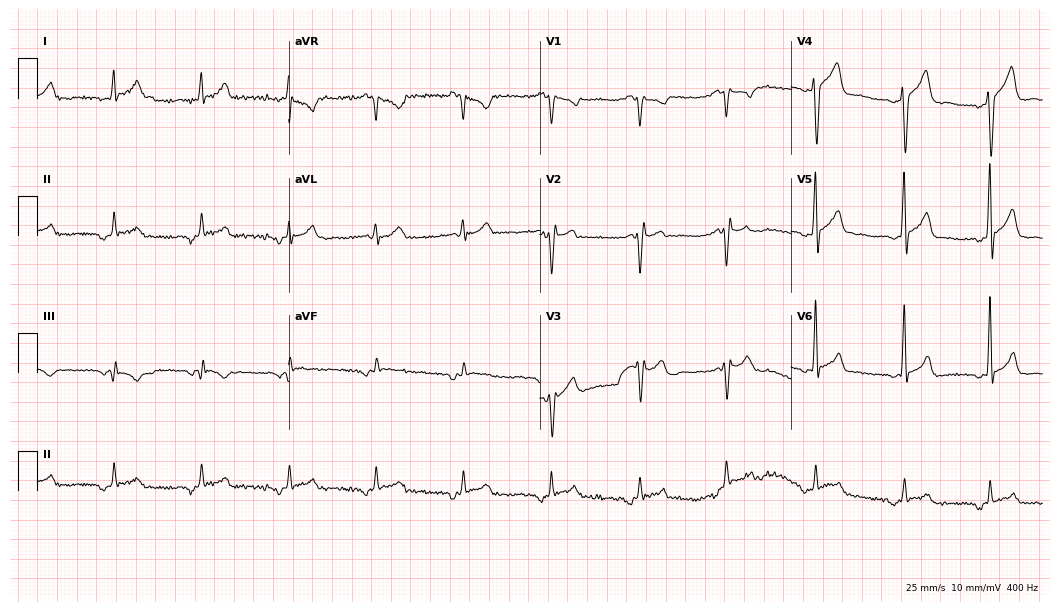
Electrocardiogram, a male patient, 38 years old. Overall reading on record: normal ECG.